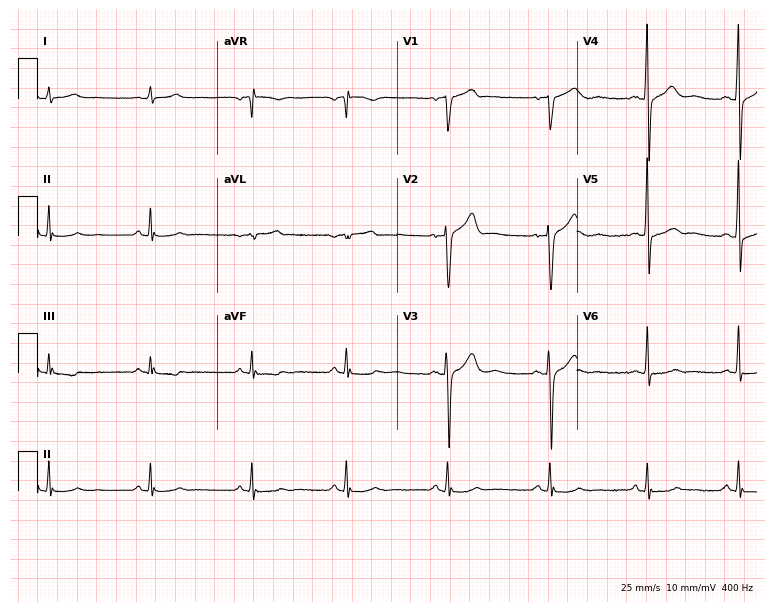
Resting 12-lead electrocardiogram (7.3-second recording at 400 Hz). Patient: a male, 64 years old. None of these six findings is recorded: first-degree AV block, right bundle branch block, left bundle branch block, sinus bradycardia, atrial fibrillation, sinus tachycardia. Other findings, if any, are not listed.